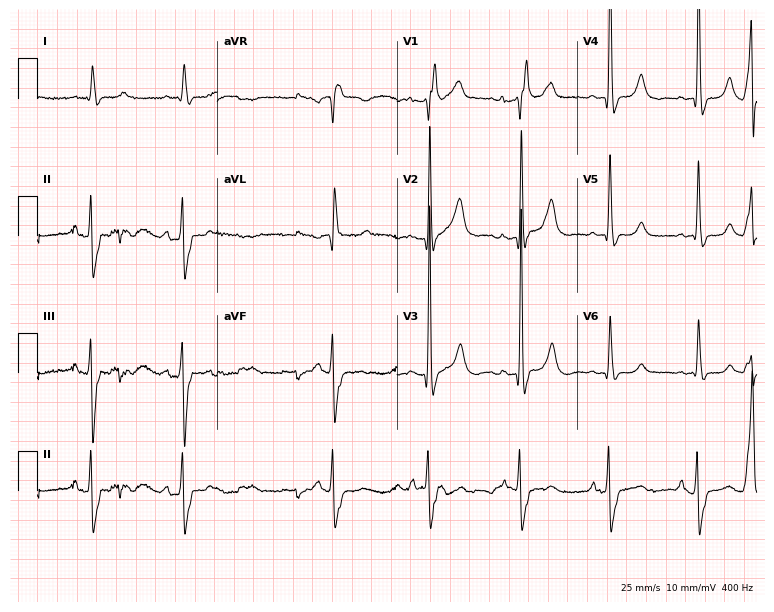
Standard 12-lead ECG recorded from a male, 72 years old. The tracing shows right bundle branch block.